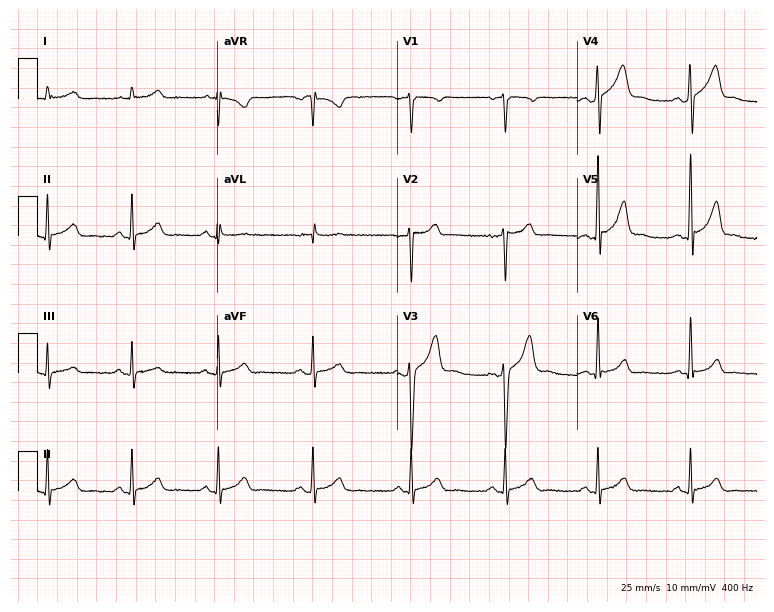
Resting 12-lead electrocardiogram. Patient: a male, 30 years old. None of these six findings is recorded: first-degree AV block, right bundle branch block, left bundle branch block, sinus bradycardia, atrial fibrillation, sinus tachycardia.